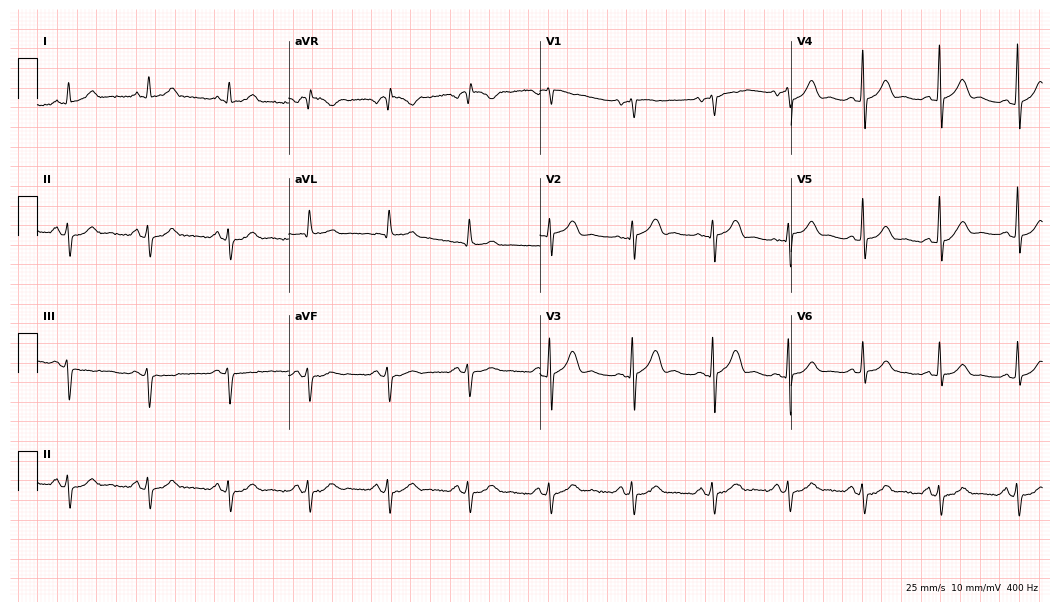
Resting 12-lead electrocardiogram (10.2-second recording at 400 Hz). Patient: a 63-year-old male. None of these six findings is recorded: first-degree AV block, right bundle branch block (RBBB), left bundle branch block (LBBB), sinus bradycardia, atrial fibrillation (AF), sinus tachycardia. Findings outside these six are not listed.